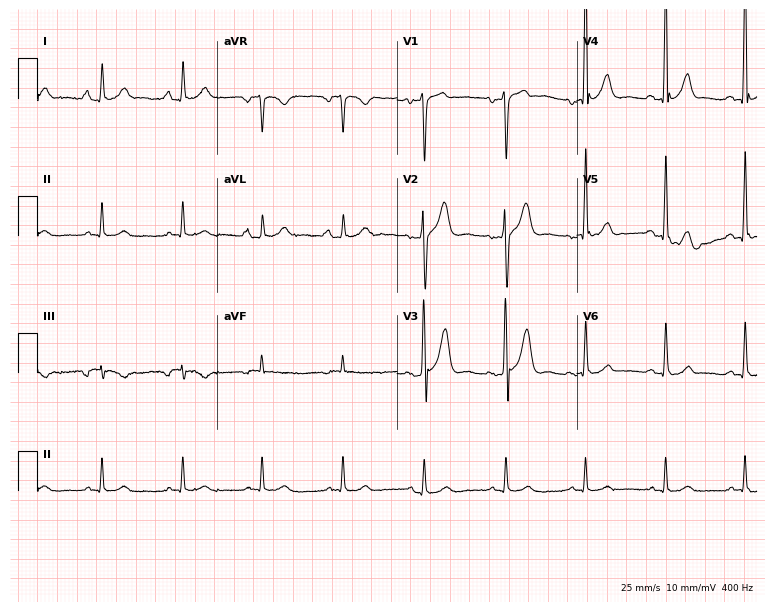
12-lead ECG from a 72-year-old male patient. Recorded interpretation: within normal limits.